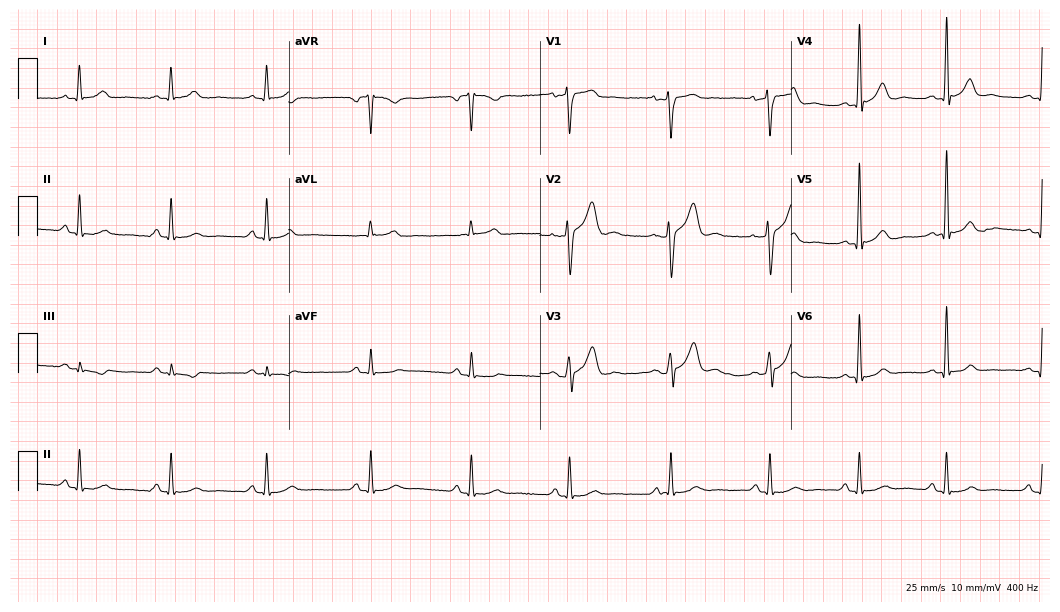
ECG — a 34-year-old male. Labelled as a normal ECG.